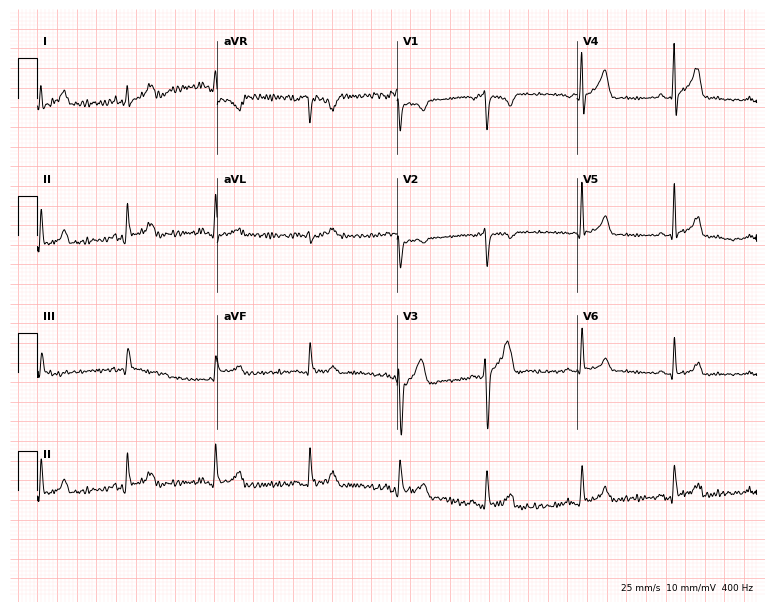
12-lead ECG from a man, 28 years old. Screened for six findings — first-degree AV block, right bundle branch block (RBBB), left bundle branch block (LBBB), sinus bradycardia, atrial fibrillation (AF), sinus tachycardia — none is recorded.